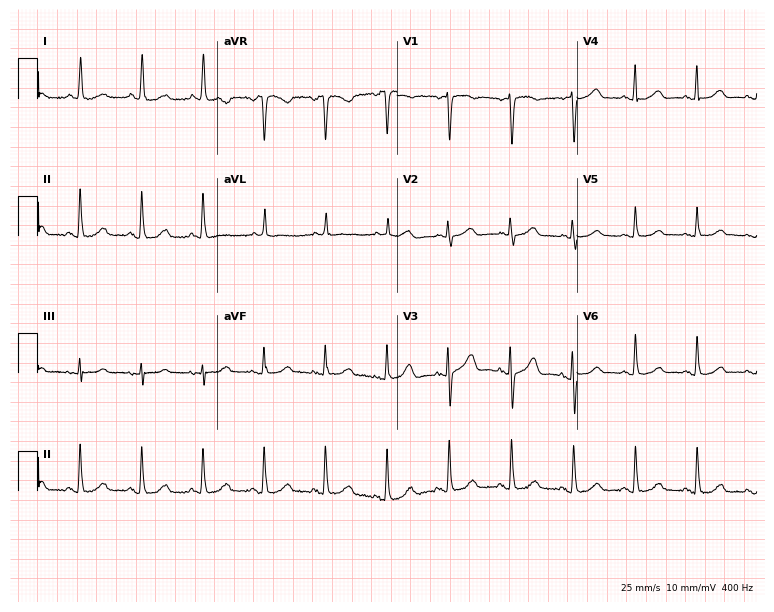
Electrocardiogram (7.3-second recording at 400 Hz), a female patient, 68 years old. Overall reading on record: normal ECG.